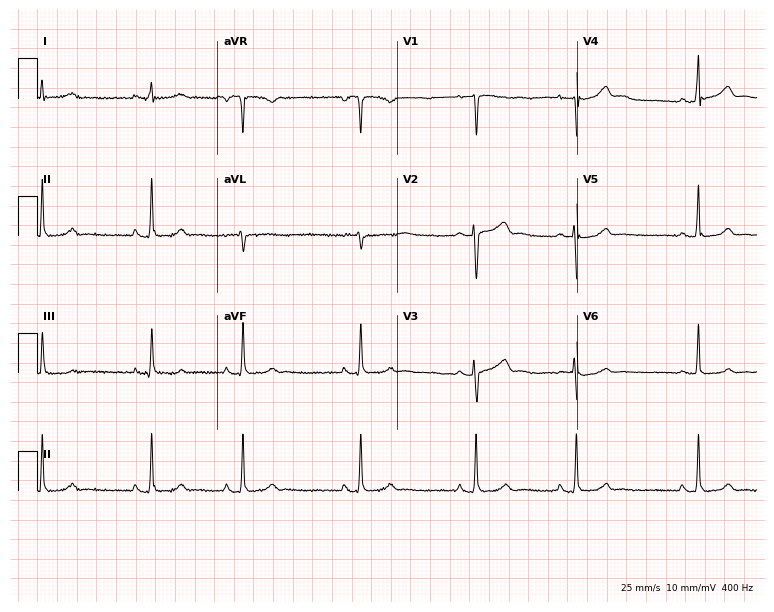
12-lead ECG (7.3-second recording at 400 Hz) from a female patient, 22 years old. Screened for six findings — first-degree AV block, right bundle branch block, left bundle branch block, sinus bradycardia, atrial fibrillation, sinus tachycardia — none is recorded. Other findings, if any, are not listed.